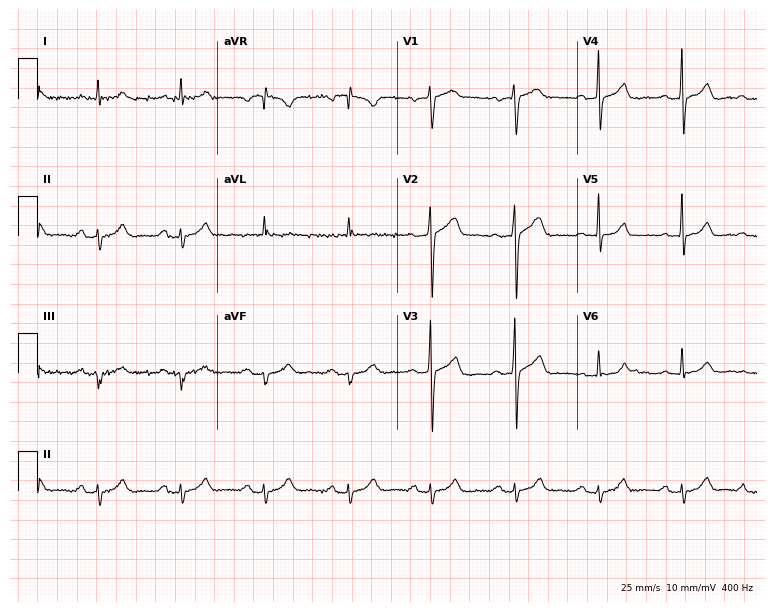
ECG — a man, 51 years old. Labelled as a normal ECG.